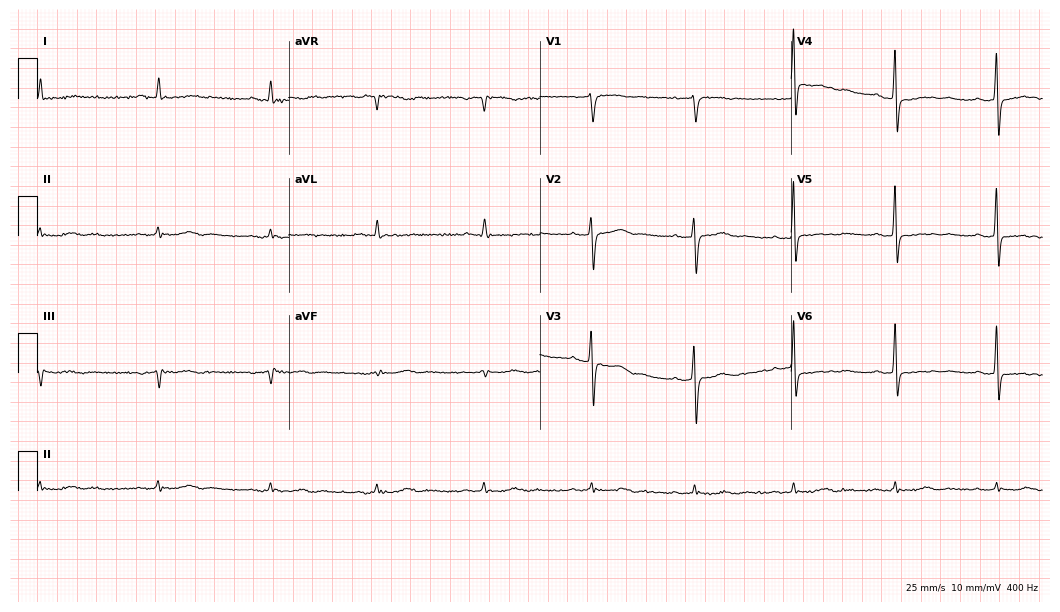
12-lead ECG (10.2-second recording at 400 Hz) from a 42-year-old man. Screened for six findings — first-degree AV block, right bundle branch block, left bundle branch block, sinus bradycardia, atrial fibrillation, sinus tachycardia — none is recorded.